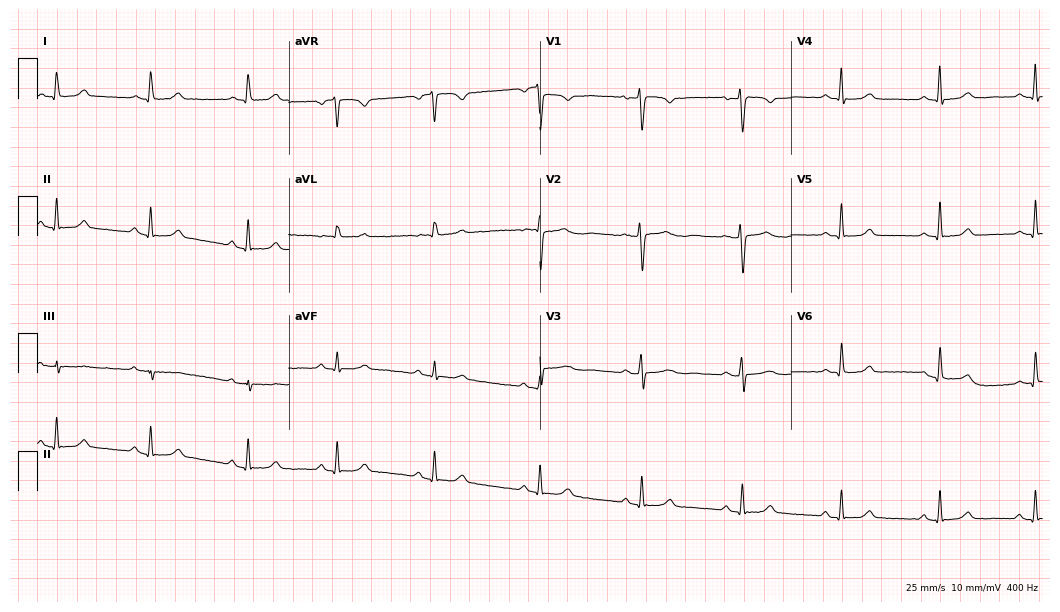
Electrocardiogram, a woman, 50 years old. Overall reading on record: normal ECG.